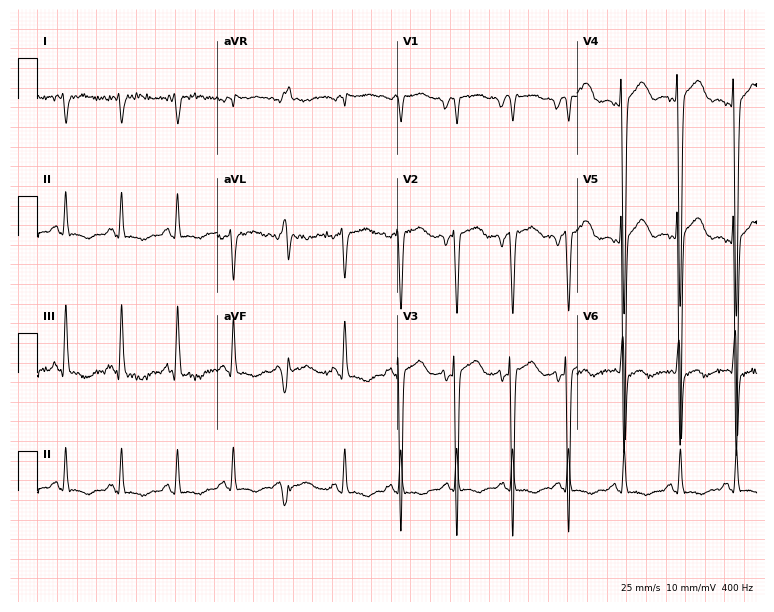
ECG (7.3-second recording at 400 Hz) — a 51-year-old male patient. Findings include sinus tachycardia (a sinus rate of 100 beats per minute or more).